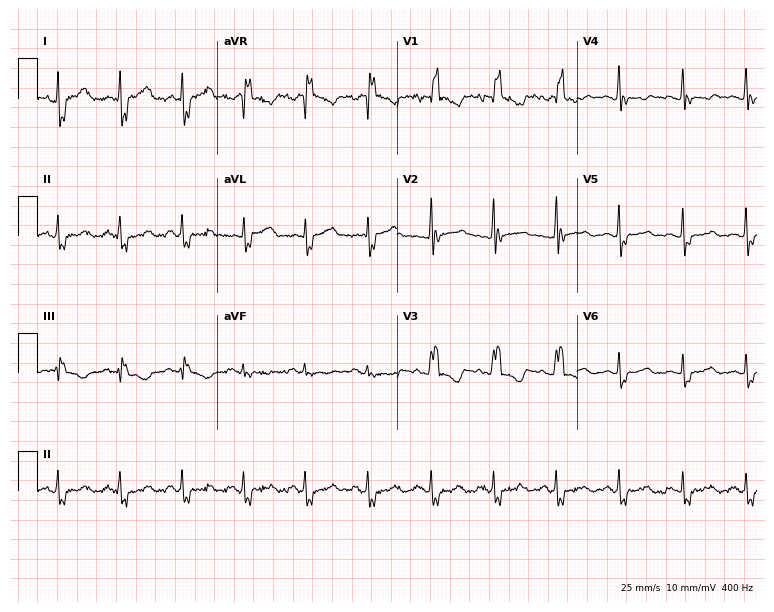
Resting 12-lead electrocardiogram (7.3-second recording at 400 Hz). Patient: a woman, 60 years old. The tracing shows right bundle branch block.